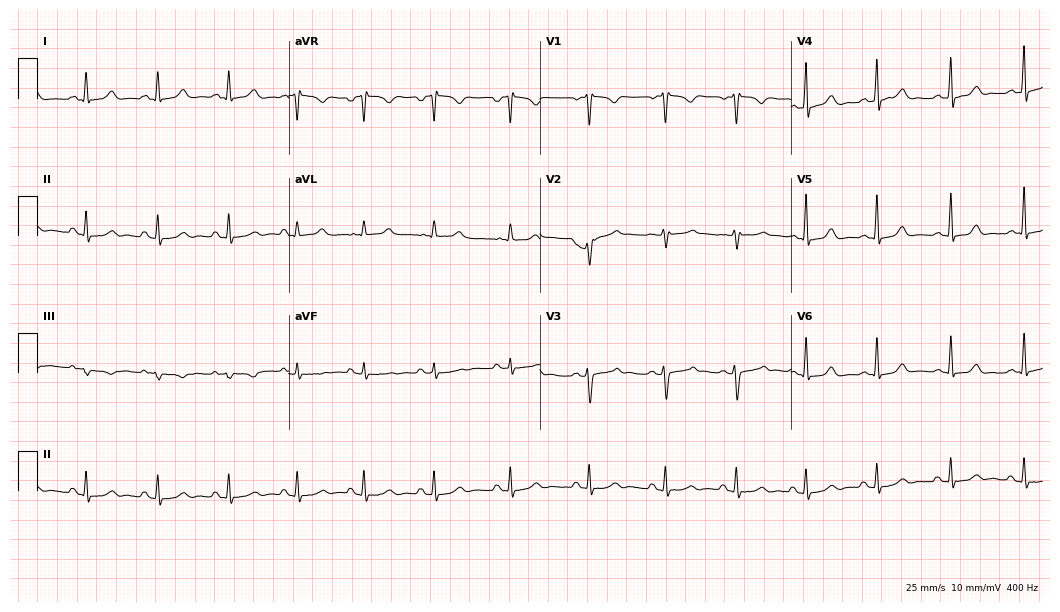
Electrocardiogram (10.2-second recording at 400 Hz), a woman, 21 years old. Of the six screened findings (first-degree AV block, right bundle branch block, left bundle branch block, sinus bradycardia, atrial fibrillation, sinus tachycardia), none is recorded. Other findings, if any, are not listed.